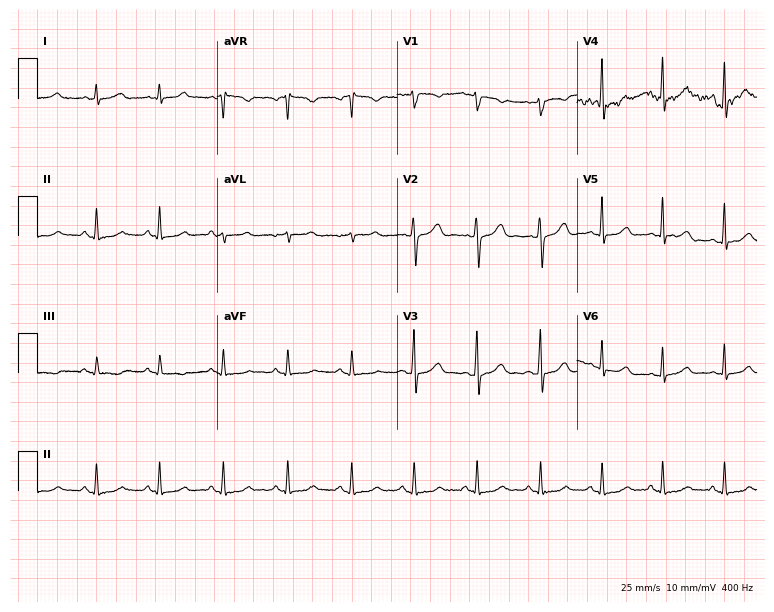
ECG (7.3-second recording at 400 Hz) — a 31-year-old female patient. Screened for six findings — first-degree AV block, right bundle branch block, left bundle branch block, sinus bradycardia, atrial fibrillation, sinus tachycardia — none is recorded. Other findings, if any, are not listed.